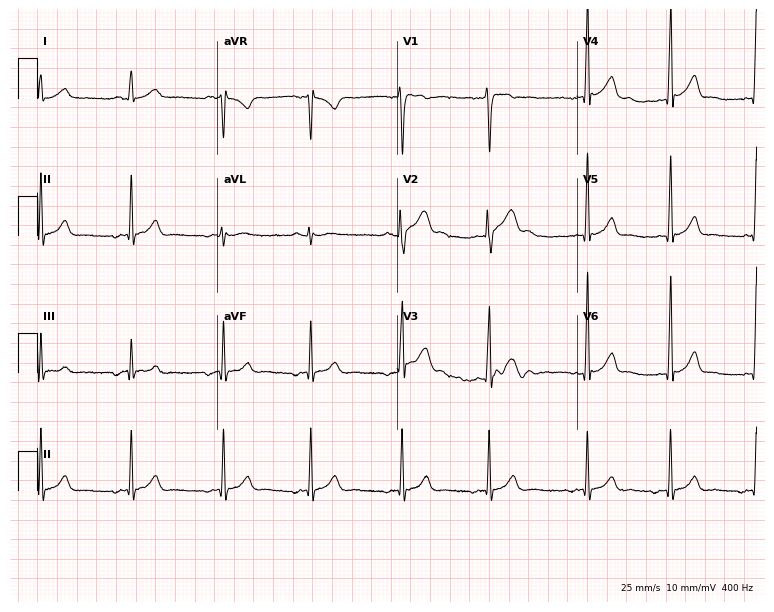
Standard 12-lead ECG recorded from a male, 20 years old. None of these six findings is recorded: first-degree AV block, right bundle branch block, left bundle branch block, sinus bradycardia, atrial fibrillation, sinus tachycardia. Other findings, if any, are not listed.